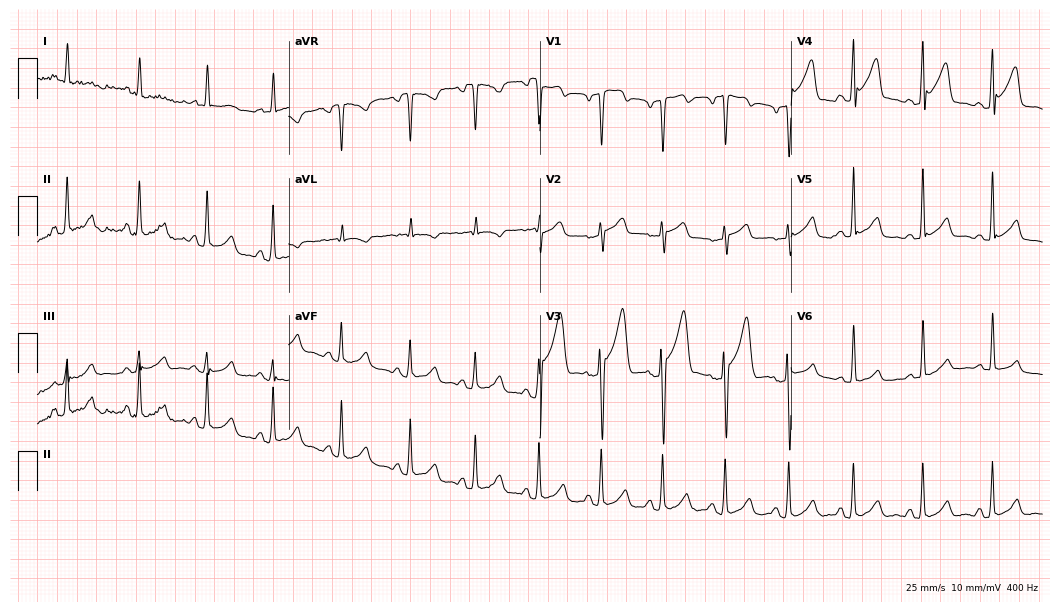
Electrocardiogram (10.2-second recording at 400 Hz), a 34-year-old man. Of the six screened findings (first-degree AV block, right bundle branch block, left bundle branch block, sinus bradycardia, atrial fibrillation, sinus tachycardia), none is recorded.